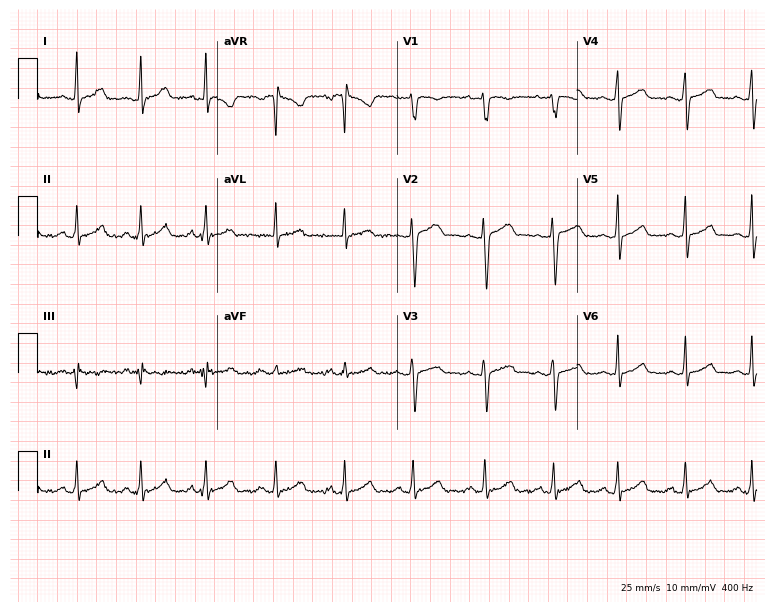
Standard 12-lead ECG recorded from a female, 28 years old (7.3-second recording at 400 Hz). Read as a normal ECG.